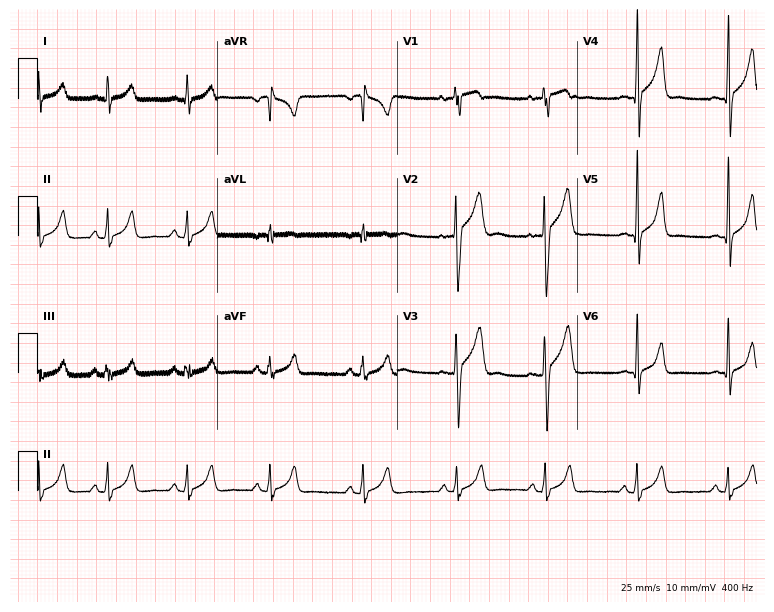
ECG (7.3-second recording at 400 Hz) — a male patient, 19 years old. Screened for six findings — first-degree AV block, right bundle branch block (RBBB), left bundle branch block (LBBB), sinus bradycardia, atrial fibrillation (AF), sinus tachycardia — none is recorded.